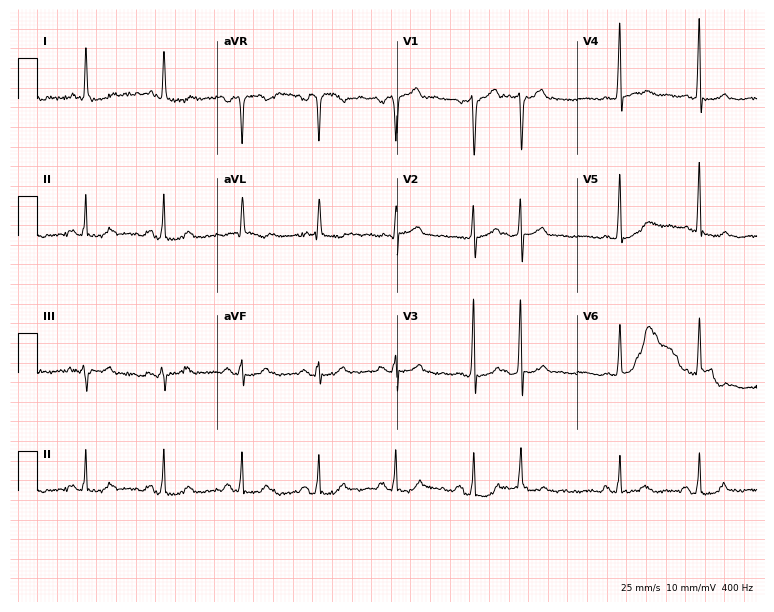
ECG (7.3-second recording at 400 Hz) — a 77-year-old male. Screened for six findings — first-degree AV block, right bundle branch block, left bundle branch block, sinus bradycardia, atrial fibrillation, sinus tachycardia — none is recorded. Other findings, if any, are not listed.